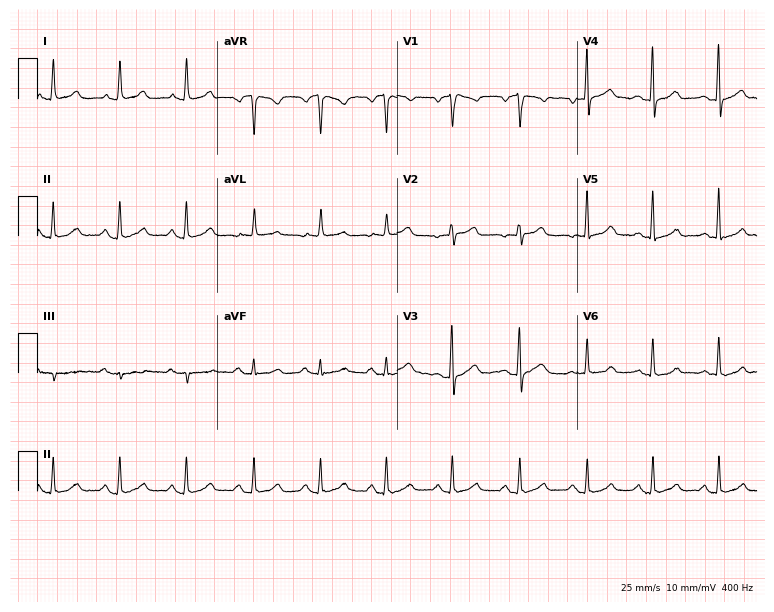
Electrocardiogram (7.3-second recording at 400 Hz), a woman, 66 years old. Of the six screened findings (first-degree AV block, right bundle branch block, left bundle branch block, sinus bradycardia, atrial fibrillation, sinus tachycardia), none is recorded. Only these six findings were labelled.